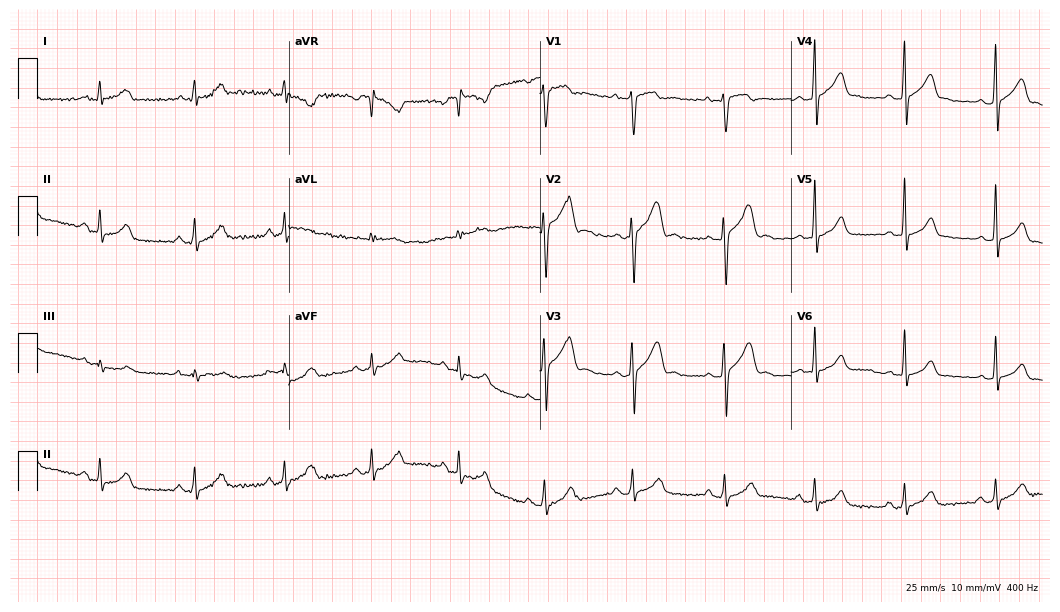
Resting 12-lead electrocardiogram. Patient: a male, 18 years old. Read as a normal ECG.